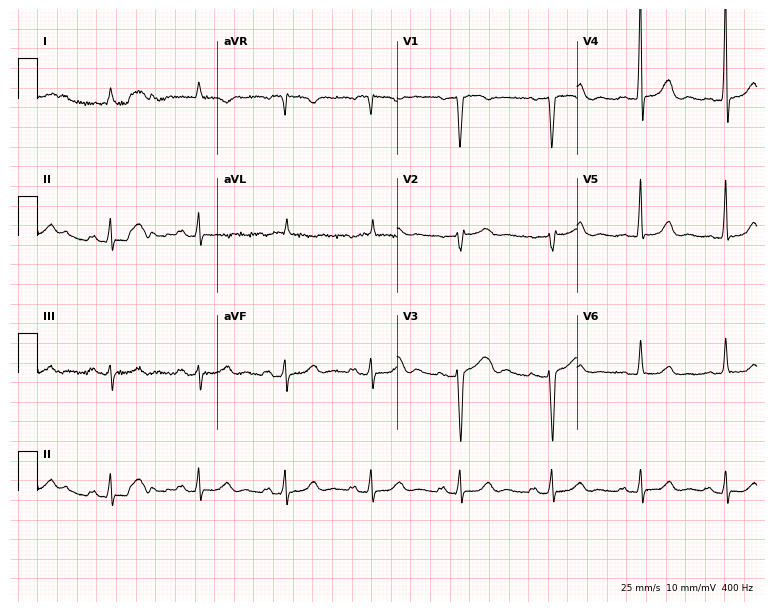
Electrocardiogram (7.3-second recording at 400 Hz), a 62-year-old woman. Overall reading on record: normal ECG.